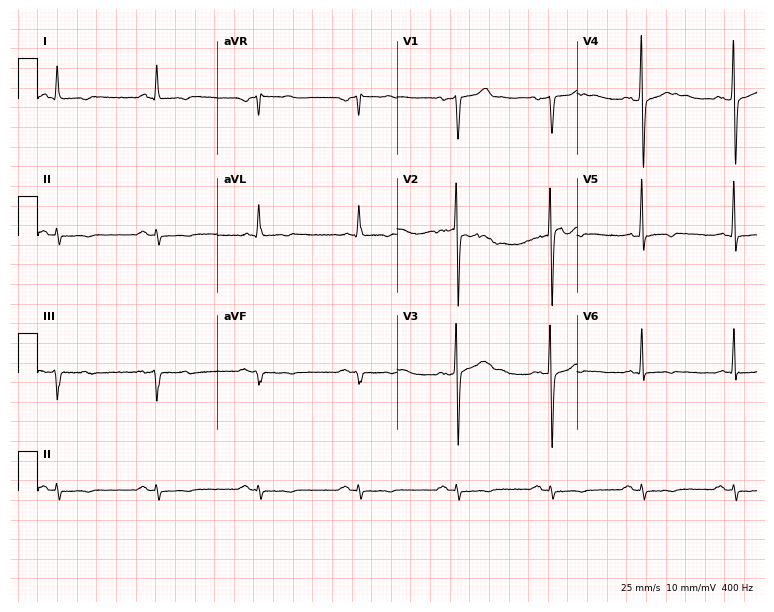
Electrocardiogram (7.3-second recording at 400 Hz), a 62-year-old man. Of the six screened findings (first-degree AV block, right bundle branch block, left bundle branch block, sinus bradycardia, atrial fibrillation, sinus tachycardia), none is recorded.